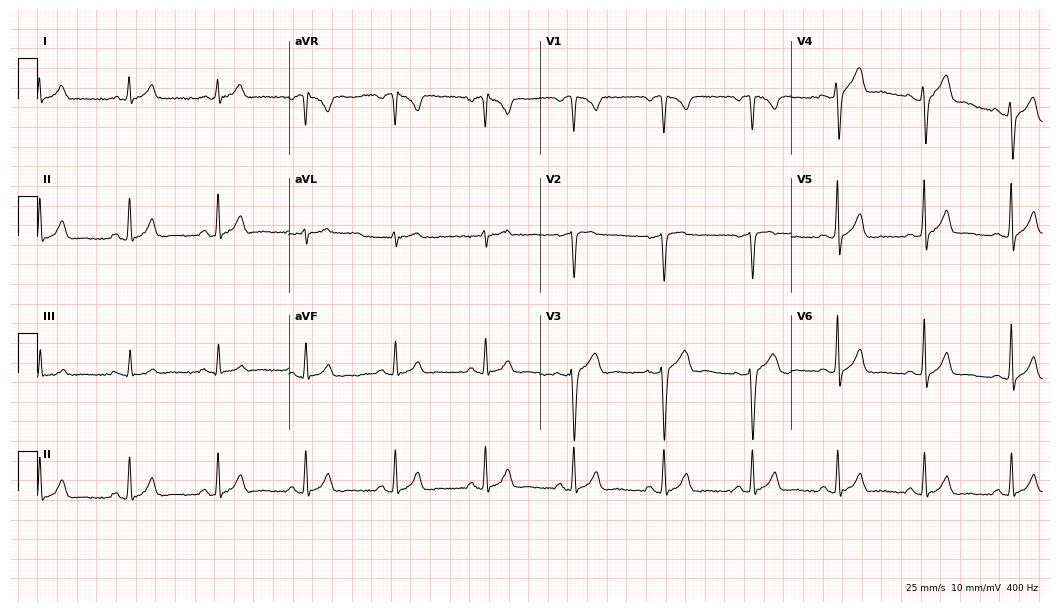
12-lead ECG from a 52-year-old male patient (10.2-second recording at 400 Hz). Recorded interpretation: within normal limits.